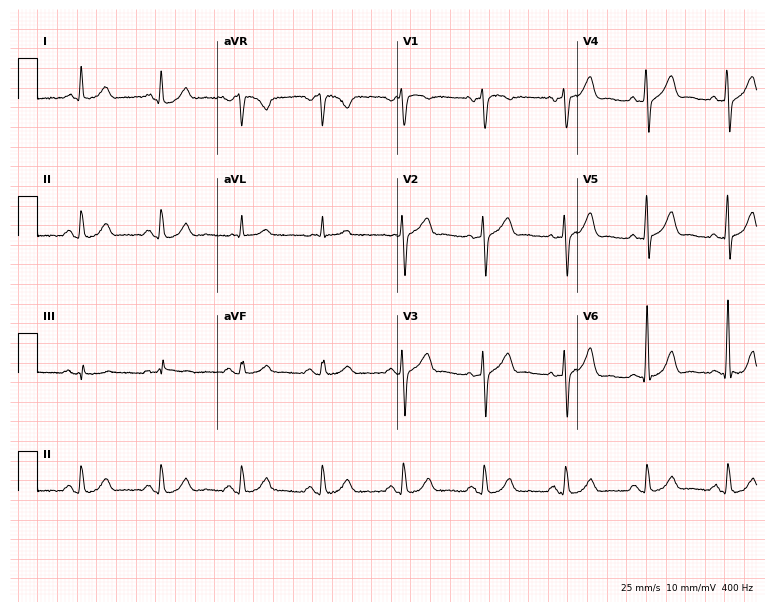
Standard 12-lead ECG recorded from a man, 68 years old. None of these six findings is recorded: first-degree AV block, right bundle branch block (RBBB), left bundle branch block (LBBB), sinus bradycardia, atrial fibrillation (AF), sinus tachycardia.